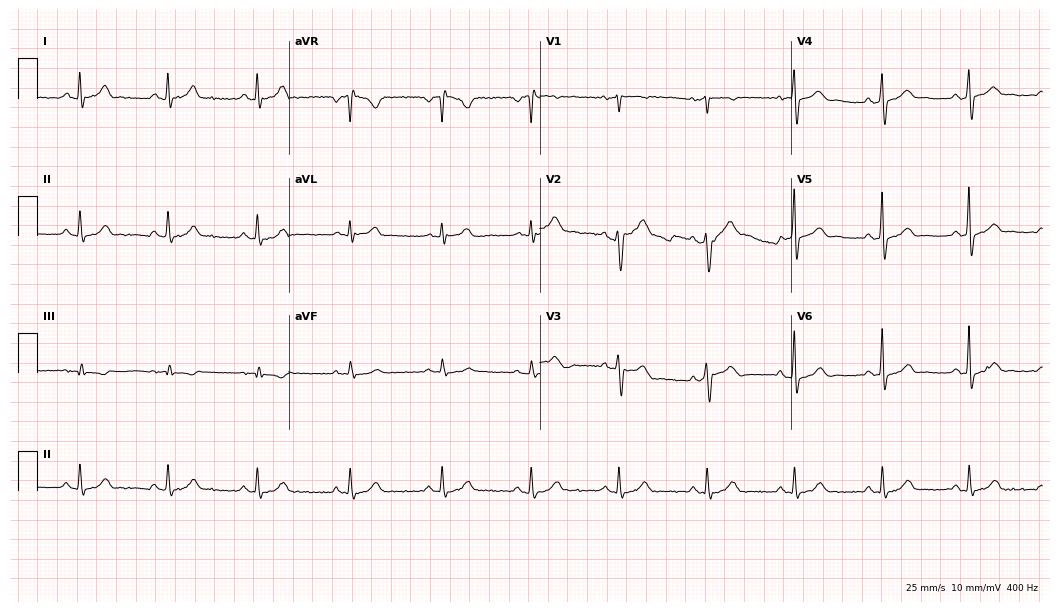
Electrocardiogram, a male, 56 years old. Overall reading on record: normal ECG.